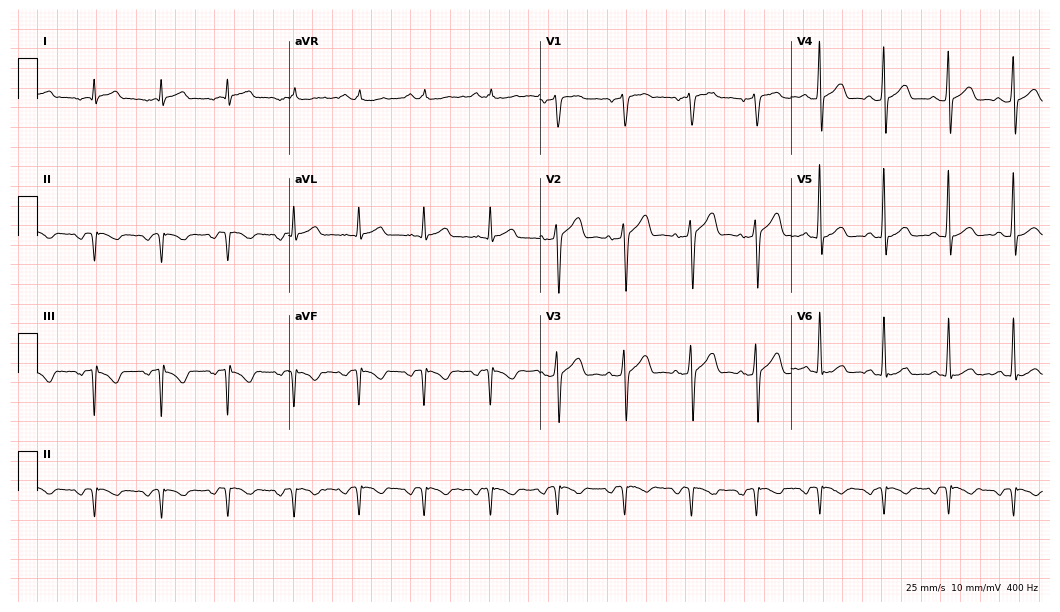
ECG — a 42-year-old male. Screened for six findings — first-degree AV block, right bundle branch block, left bundle branch block, sinus bradycardia, atrial fibrillation, sinus tachycardia — none is recorded.